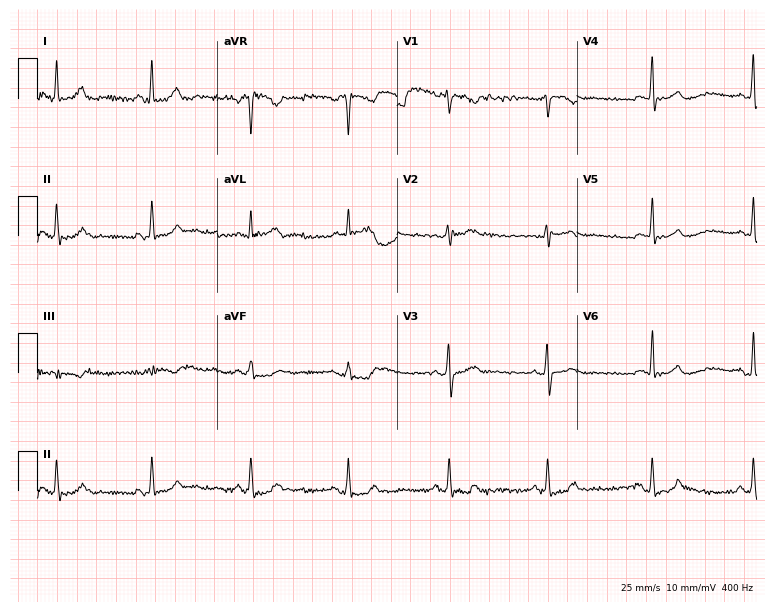
Electrocardiogram, a 23-year-old female patient. Of the six screened findings (first-degree AV block, right bundle branch block, left bundle branch block, sinus bradycardia, atrial fibrillation, sinus tachycardia), none is recorded.